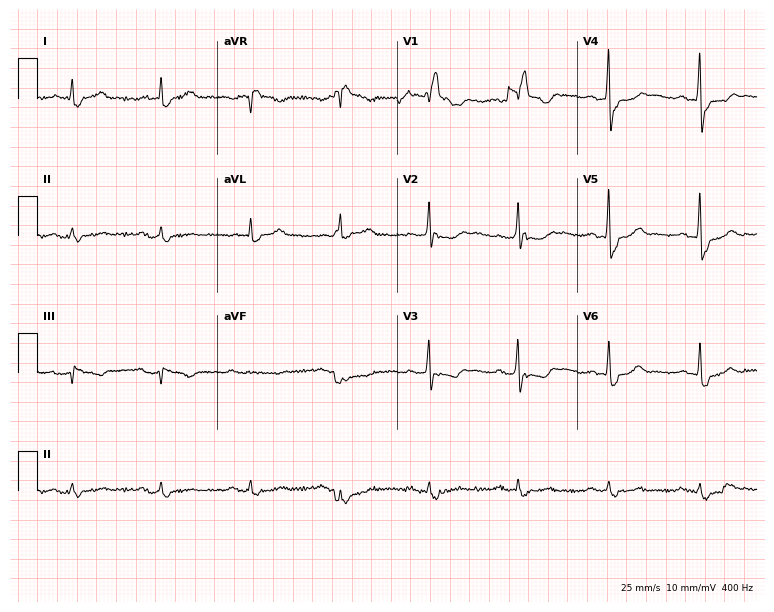
12-lead ECG (7.3-second recording at 400 Hz) from a 79-year-old male patient. Findings include right bundle branch block.